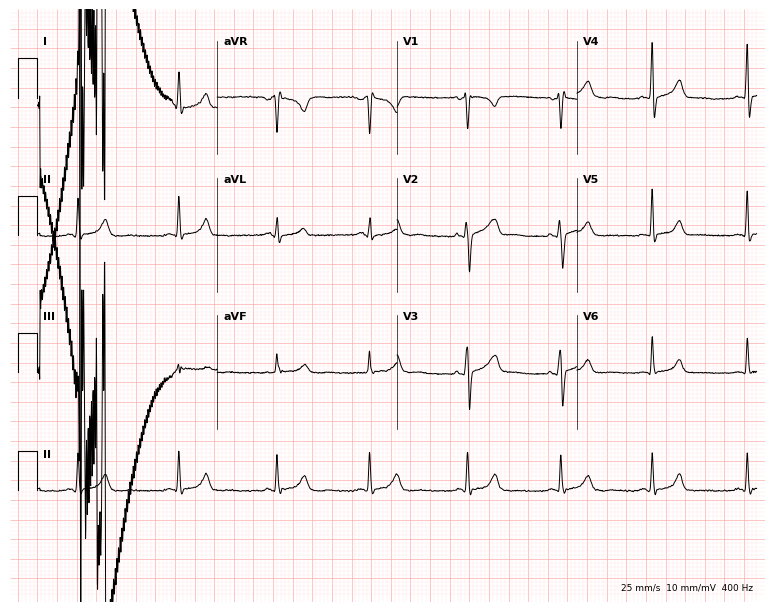
12-lead ECG from a 51-year-old female (7.3-second recording at 400 Hz). No first-degree AV block, right bundle branch block (RBBB), left bundle branch block (LBBB), sinus bradycardia, atrial fibrillation (AF) or sinus tachycardia recorded for this tracing. Other findings, if any, are not listed.